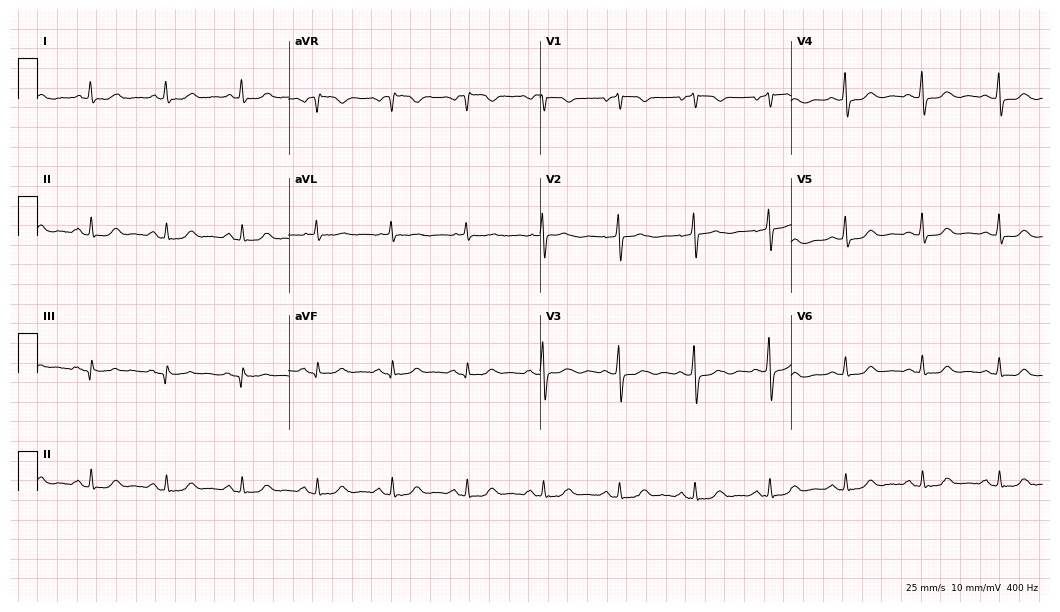
12-lead ECG from a woman, 67 years old (10.2-second recording at 400 Hz). Recorded interpretation: within normal limits.